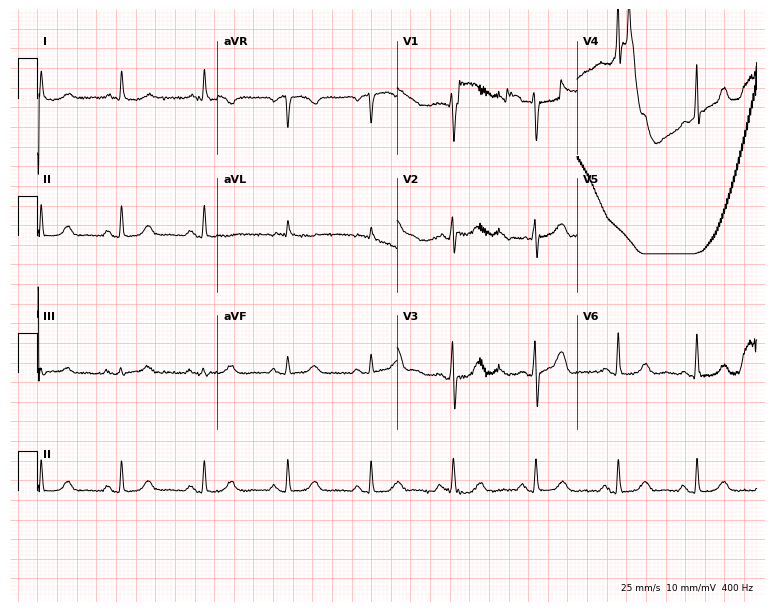
Standard 12-lead ECG recorded from a 59-year-old female patient (7.3-second recording at 400 Hz). None of these six findings is recorded: first-degree AV block, right bundle branch block (RBBB), left bundle branch block (LBBB), sinus bradycardia, atrial fibrillation (AF), sinus tachycardia. Other findings, if any, are not listed.